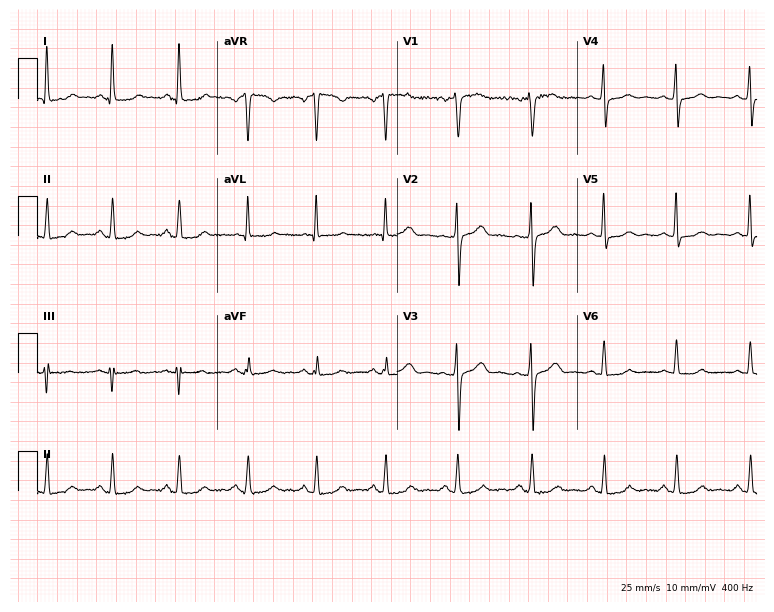
12-lead ECG from a woman, 52 years old. Screened for six findings — first-degree AV block, right bundle branch block (RBBB), left bundle branch block (LBBB), sinus bradycardia, atrial fibrillation (AF), sinus tachycardia — none is recorded.